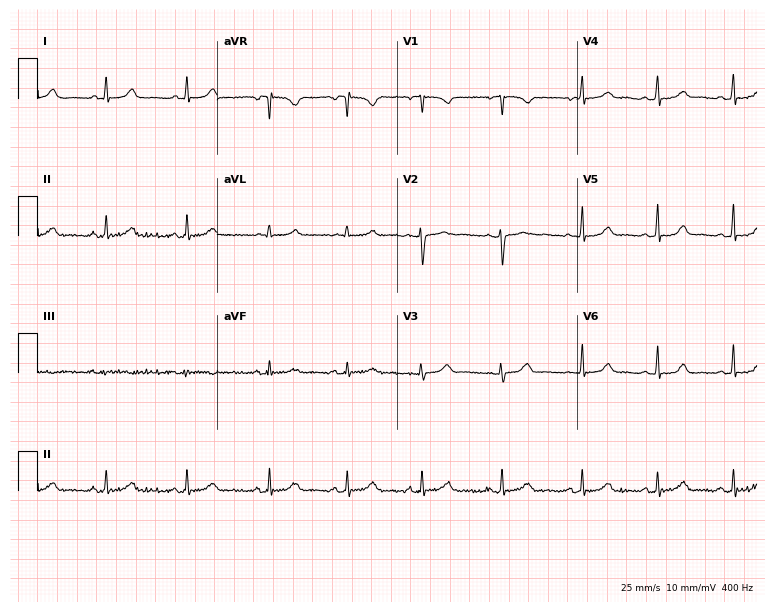
ECG (7.3-second recording at 400 Hz) — a female, 28 years old. Labelled as a normal ECG.